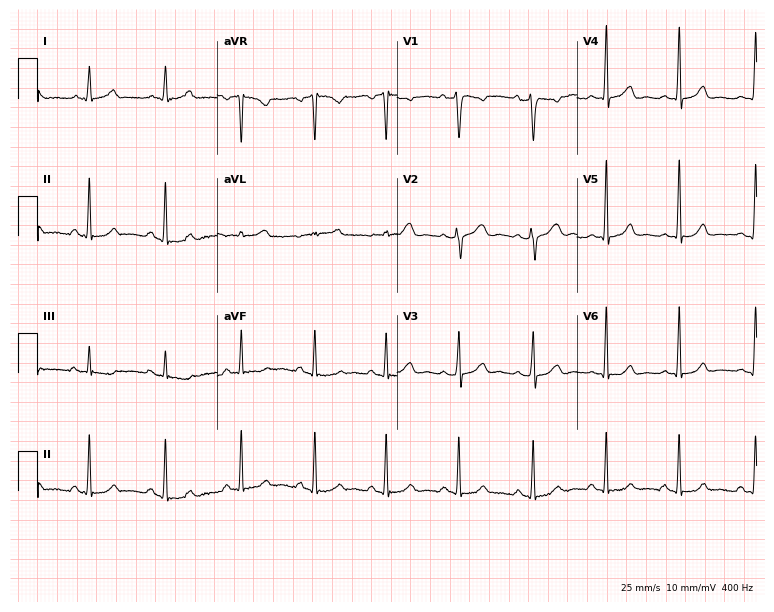
Electrocardiogram (7.3-second recording at 400 Hz), a female, 39 years old. Overall reading on record: normal ECG.